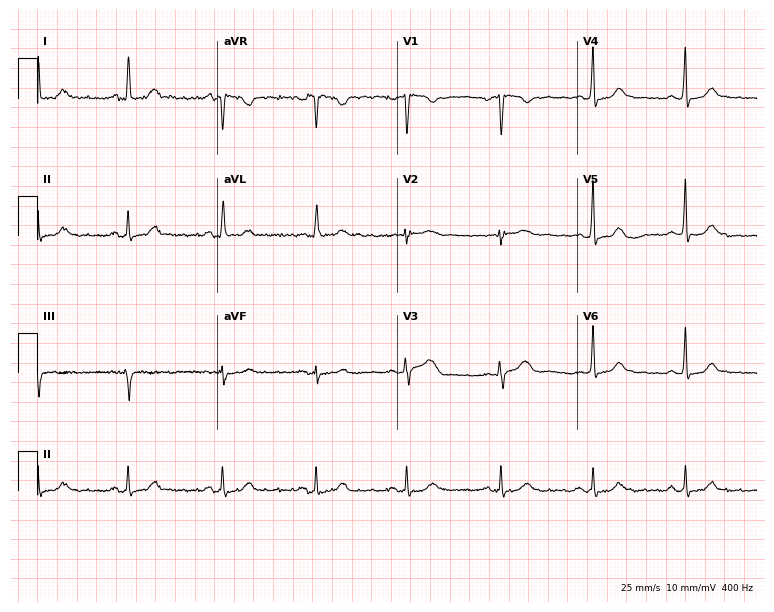
Standard 12-lead ECG recorded from a female patient, 56 years old (7.3-second recording at 400 Hz). Read as a normal ECG.